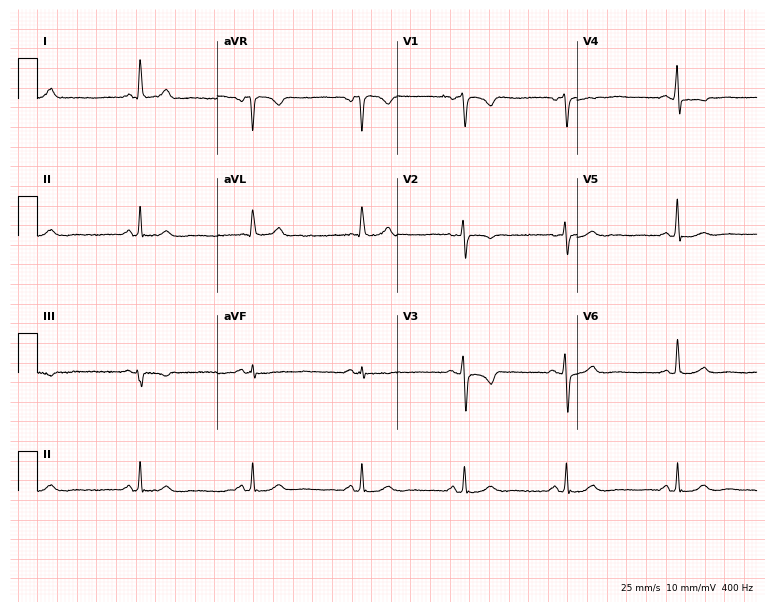
Resting 12-lead electrocardiogram. Patient: a female, 67 years old. None of these six findings is recorded: first-degree AV block, right bundle branch block, left bundle branch block, sinus bradycardia, atrial fibrillation, sinus tachycardia.